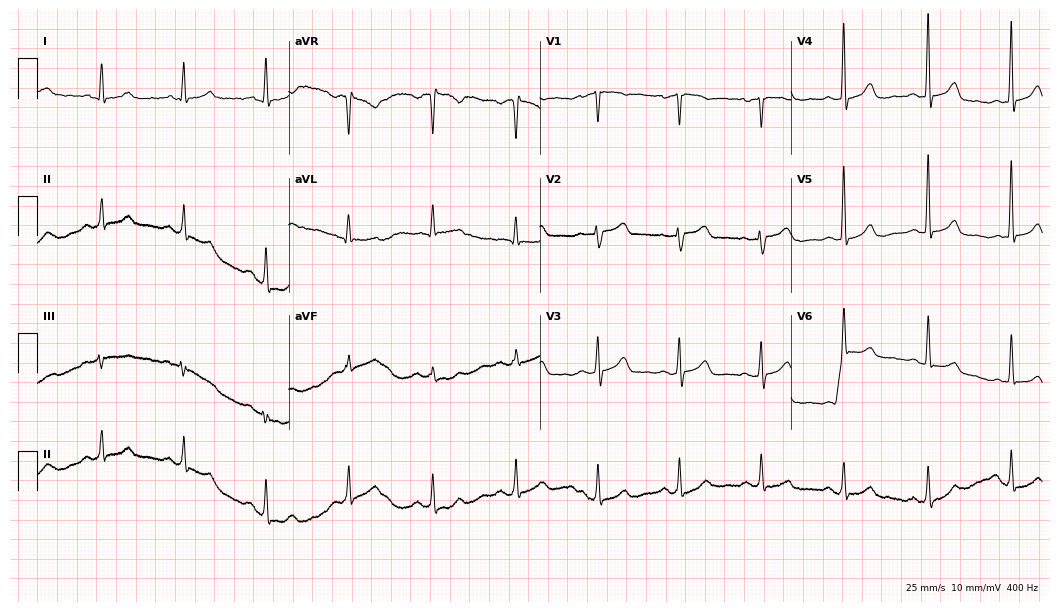
12-lead ECG (10.2-second recording at 400 Hz) from a 73-year-old female. Labelled as a normal ECG.